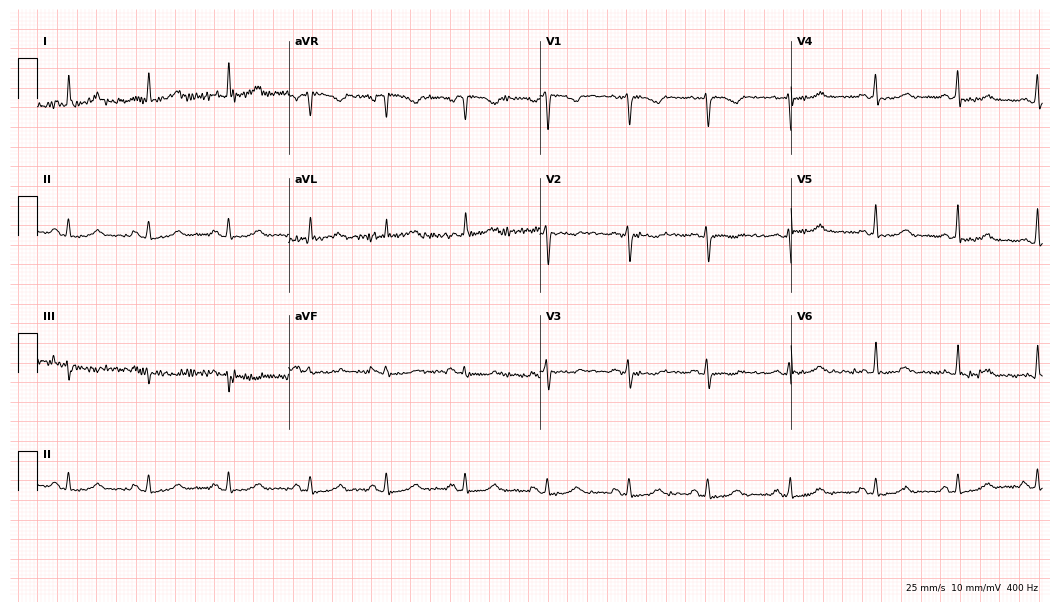
12-lead ECG (10.2-second recording at 400 Hz) from a 45-year-old woman. Screened for six findings — first-degree AV block, right bundle branch block, left bundle branch block, sinus bradycardia, atrial fibrillation, sinus tachycardia — none is recorded. Other findings, if any, are not listed.